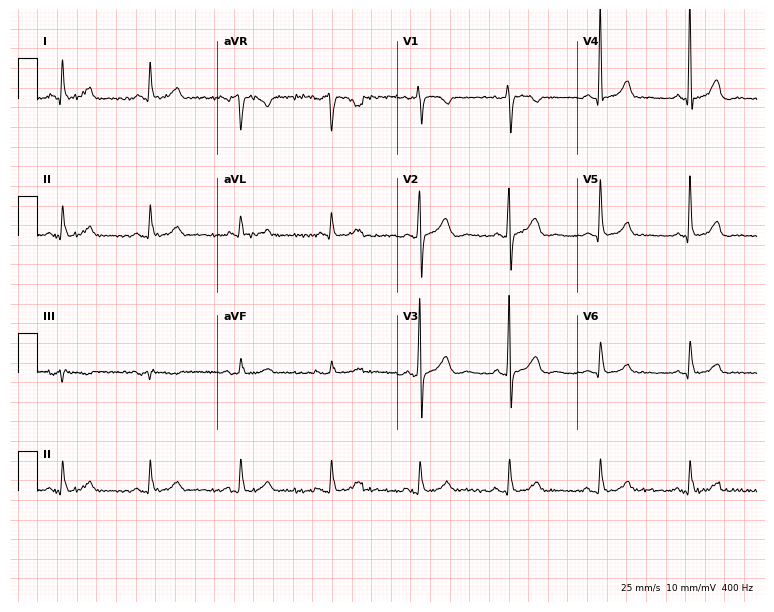
Electrocardiogram (7.3-second recording at 400 Hz), a female patient, 71 years old. Of the six screened findings (first-degree AV block, right bundle branch block (RBBB), left bundle branch block (LBBB), sinus bradycardia, atrial fibrillation (AF), sinus tachycardia), none is recorded.